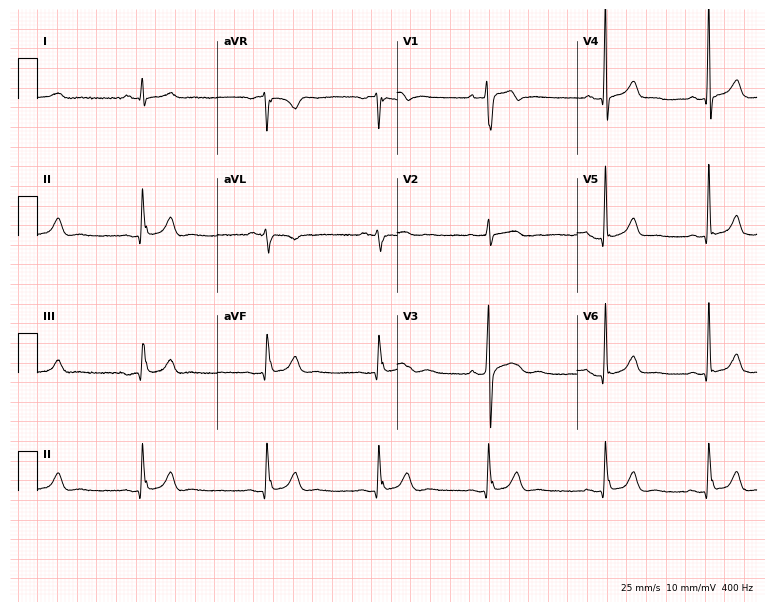
12-lead ECG from a male patient, 28 years old. Labelled as a normal ECG.